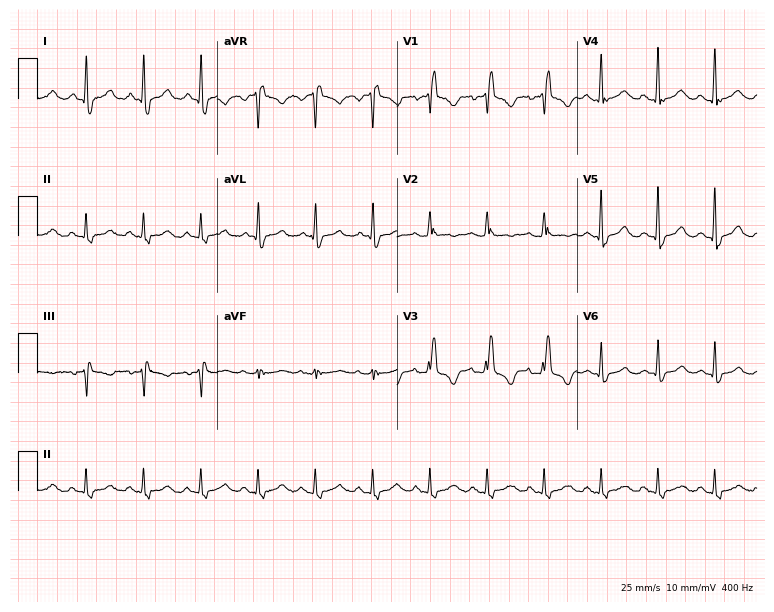
ECG (7.3-second recording at 400 Hz) — a female patient, 50 years old. Findings include right bundle branch block, sinus tachycardia (a sinus rate of 100 beats per minute or more).